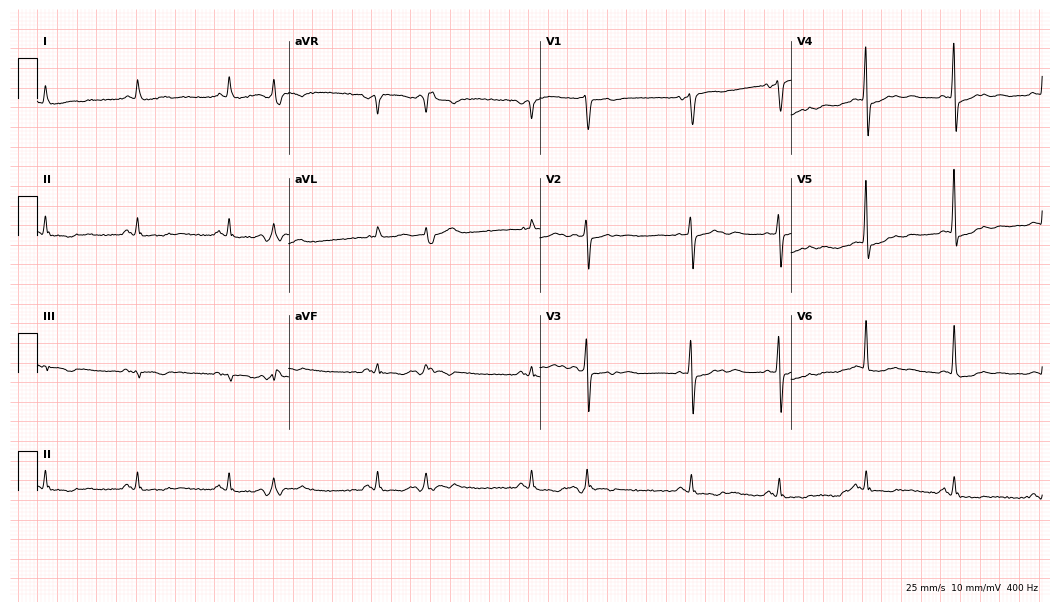
Resting 12-lead electrocardiogram. Patient: a 72-year-old male. None of these six findings is recorded: first-degree AV block, right bundle branch block, left bundle branch block, sinus bradycardia, atrial fibrillation, sinus tachycardia.